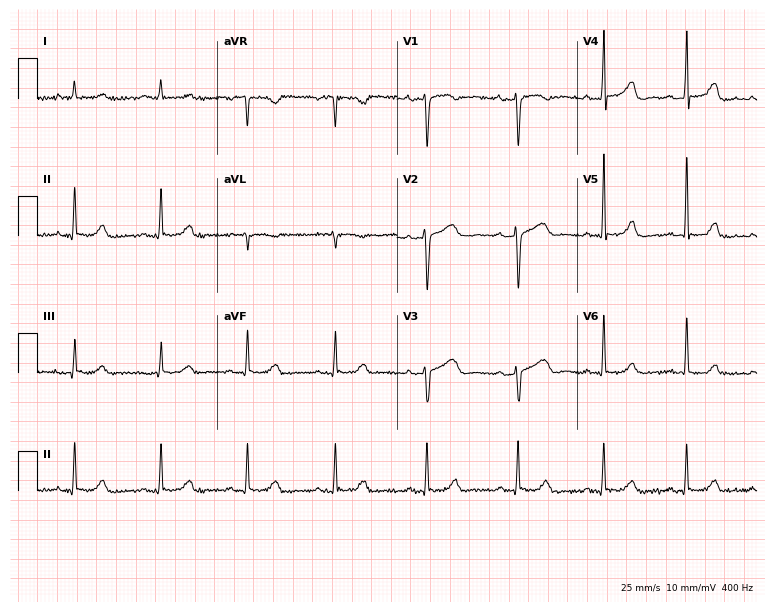
12-lead ECG from a 40-year-old woman. No first-degree AV block, right bundle branch block, left bundle branch block, sinus bradycardia, atrial fibrillation or sinus tachycardia recorded for this tracing.